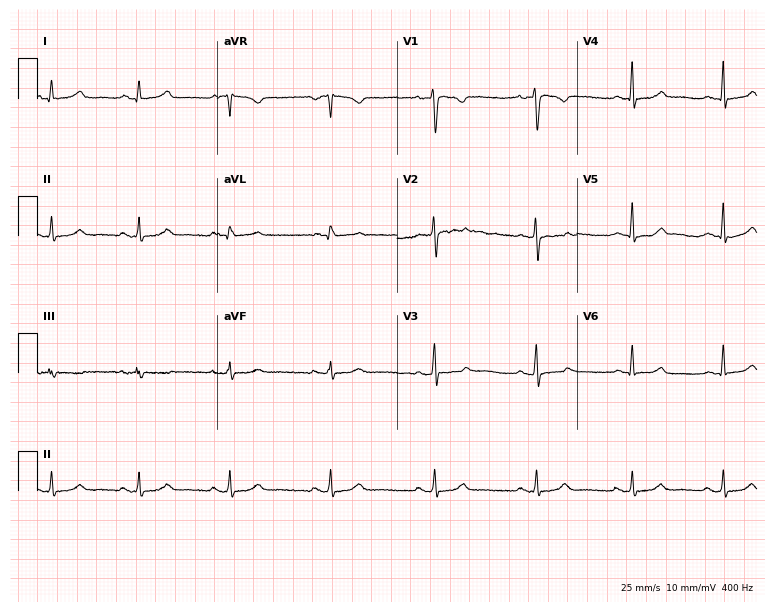
12-lead ECG (7.3-second recording at 400 Hz) from a 22-year-old female patient. Screened for six findings — first-degree AV block, right bundle branch block, left bundle branch block, sinus bradycardia, atrial fibrillation, sinus tachycardia — none is recorded.